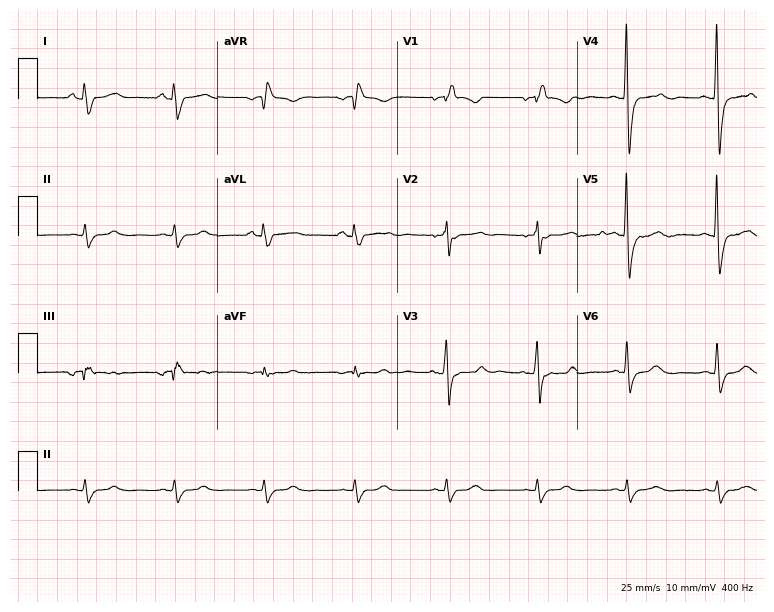
Electrocardiogram (7.3-second recording at 400 Hz), an 83-year-old male. Interpretation includes right bundle branch block (RBBB).